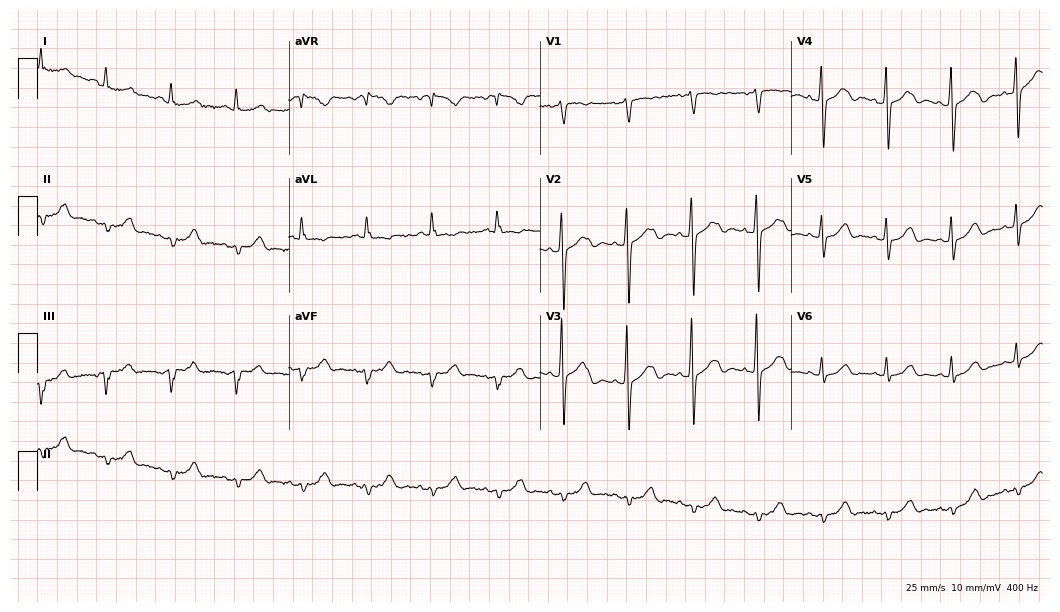
Resting 12-lead electrocardiogram (10.2-second recording at 400 Hz). Patient: a 67-year-old woman. None of these six findings is recorded: first-degree AV block, right bundle branch block (RBBB), left bundle branch block (LBBB), sinus bradycardia, atrial fibrillation (AF), sinus tachycardia.